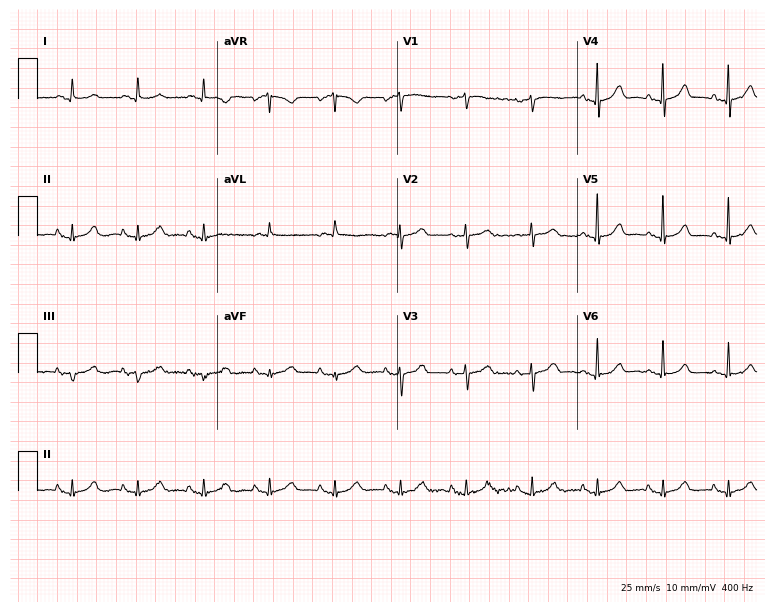
ECG — a woman, 82 years old. Labelled as a normal ECG.